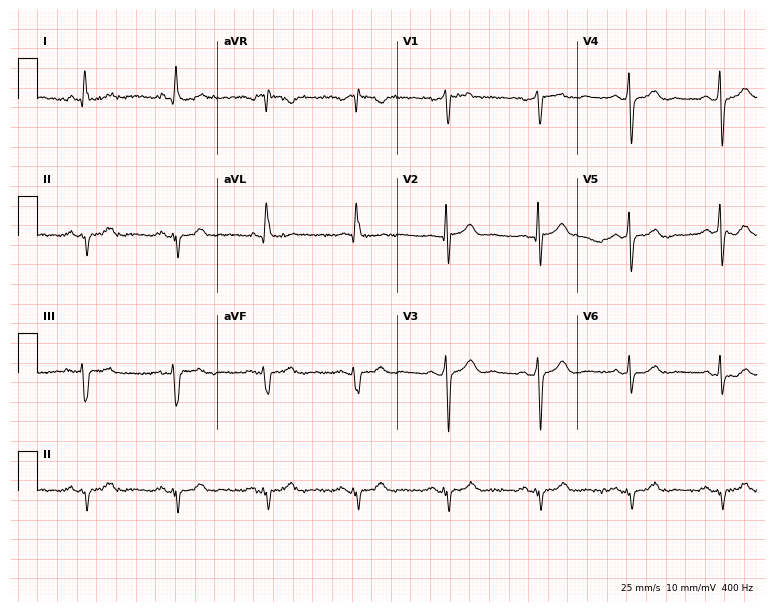
Electrocardiogram (7.3-second recording at 400 Hz), a 77-year-old male patient. Of the six screened findings (first-degree AV block, right bundle branch block, left bundle branch block, sinus bradycardia, atrial fibrillation, sinus tachycardia), none is recorded.